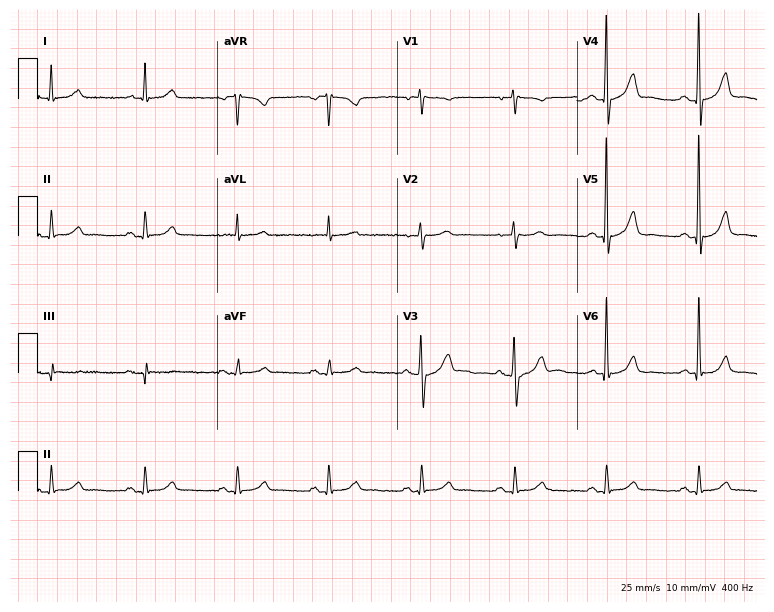
Standard 12-lead ECG recorded from a male patient, 66 years old (7.3-second recording at 400 Hz). Read as a normal ECG.